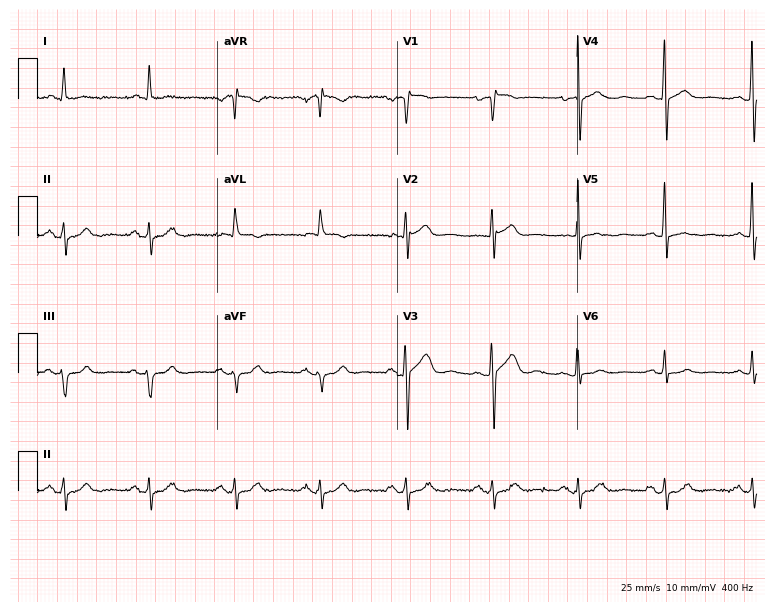
ECG — a male, 72 years old. Screened for six findings — first-degree AV block, right bundle branch block, left bundle branch block, sinus bradycardia, atrial fibrillation, sinus tachycardia — none is recorded.